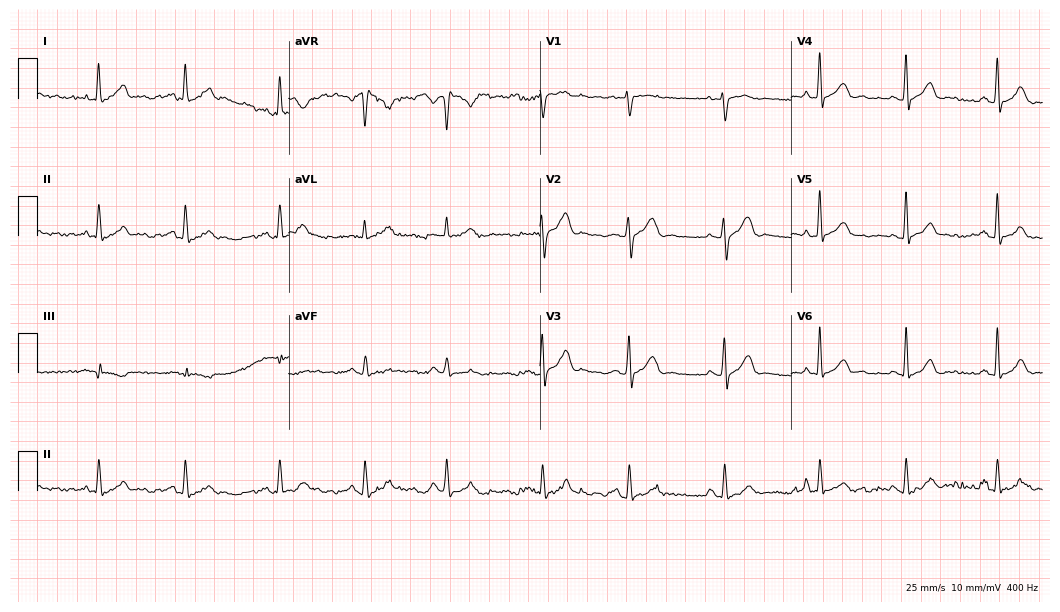
Standard 12-lead ECG recorded from a female patient, 40 years old. Read as a normal ECG.